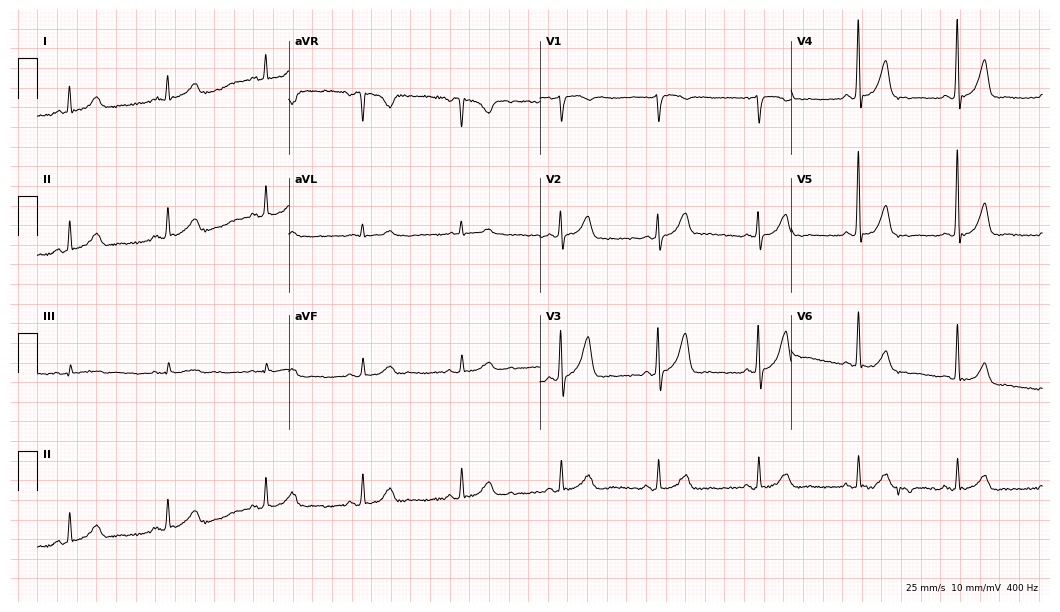
ECG (10.2-second recording at 400 Hz) — a 74-year-old male. Screened for six findings — first-degree AV block, right bundle branch block, left bundle branch block, sinus bradycardia, atrial fibrillation, sinus tachycardia — none is recorded. Findings outside these six are not listed.